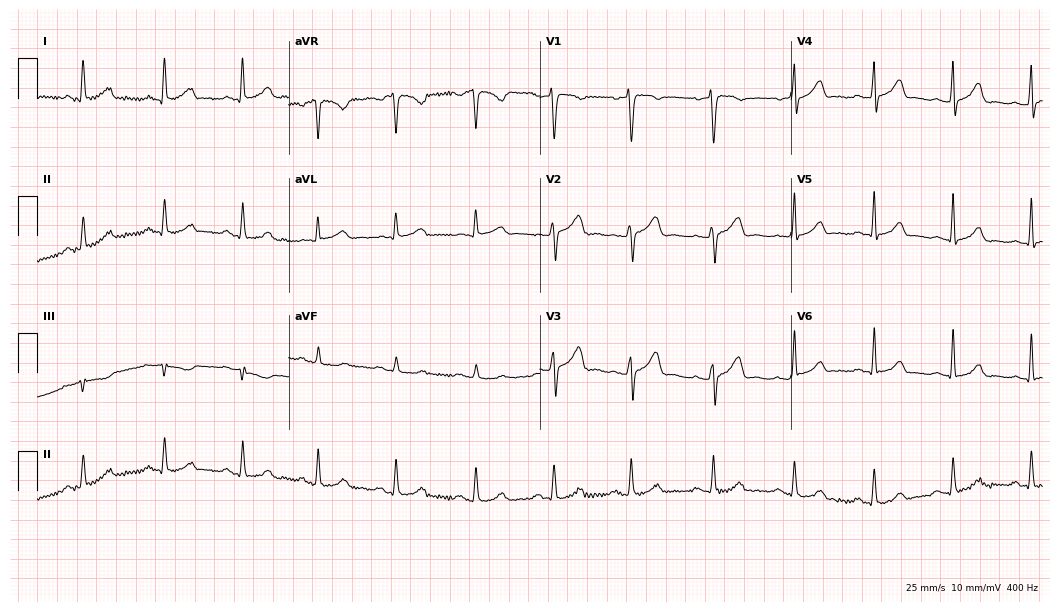
12-lead ECG from a female, 36 years old. Labelled as a normal ECG.